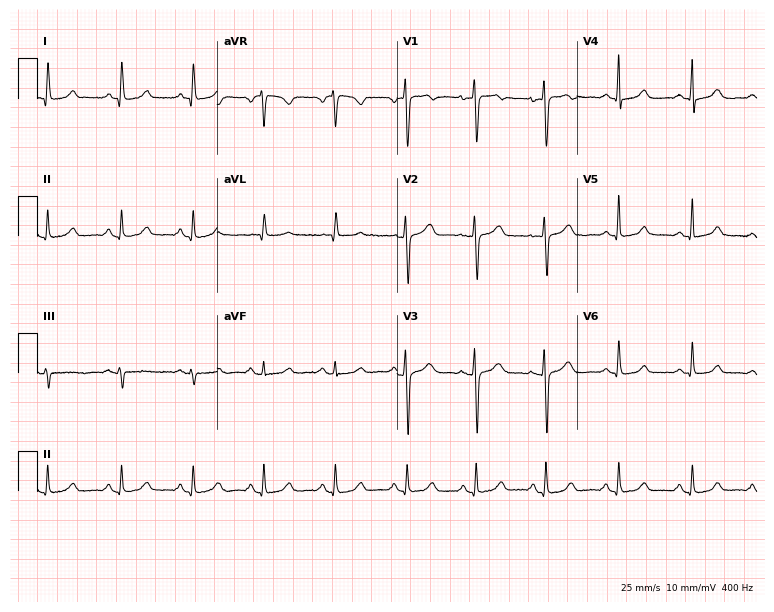
Standard 12-lead ECG recorded from a 60-year-old woman (7.3-second recording at 400 Hz). Read as a normal ECG.